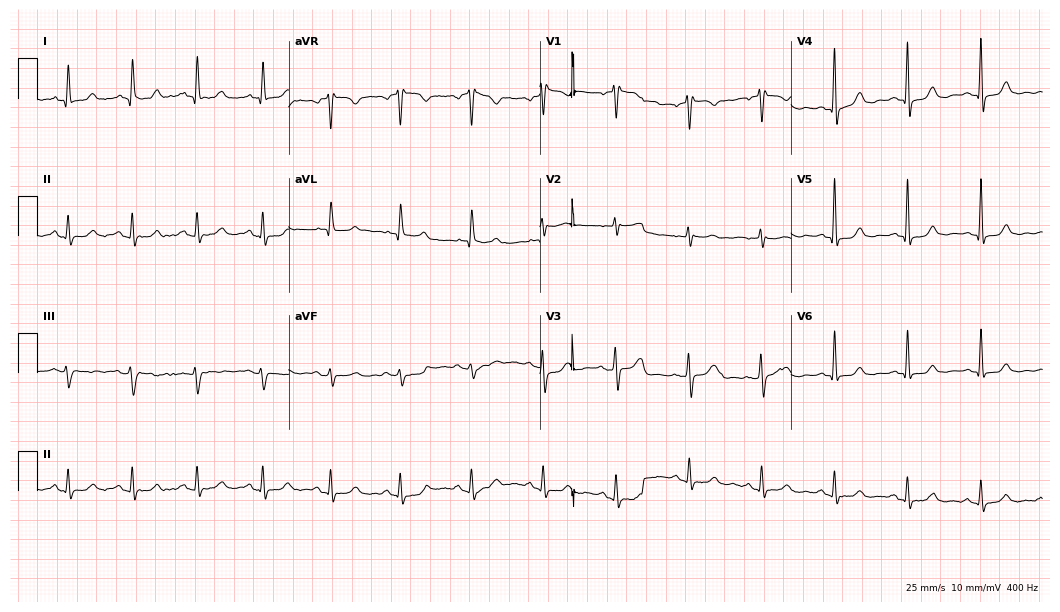
12-lead ECG from a 58-year-old female patient (10.2-second recording at 400 Hz). Recorded interpretation: within normal limits.